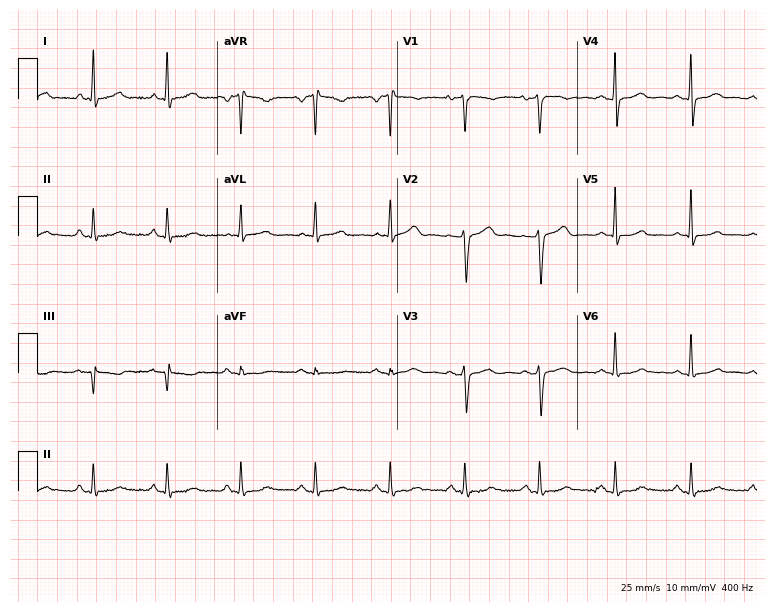
ECG (7.3-second recording at 400 Hz) — a female patient, 68 years old. Screened for six findings — first-degree AV block, right bundle branch block, left bundle branch block, sinus bradycardia, atrial fibrillation, sinus tachycardia — none is recorded. Findings outside these six are not listed.